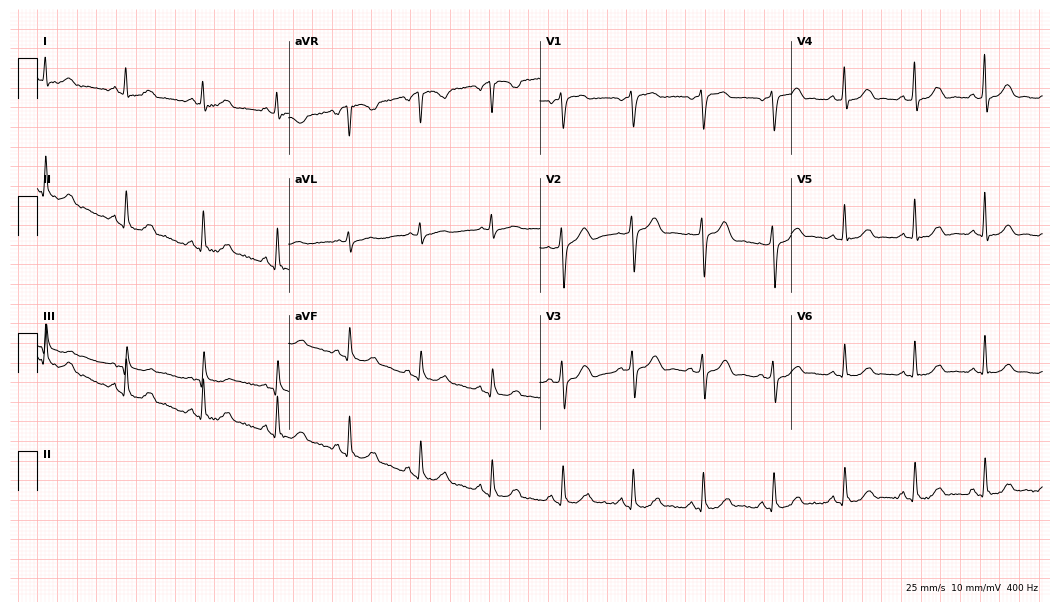
ECG — a female patient, 67 years old. Labelled as a normal ECG.